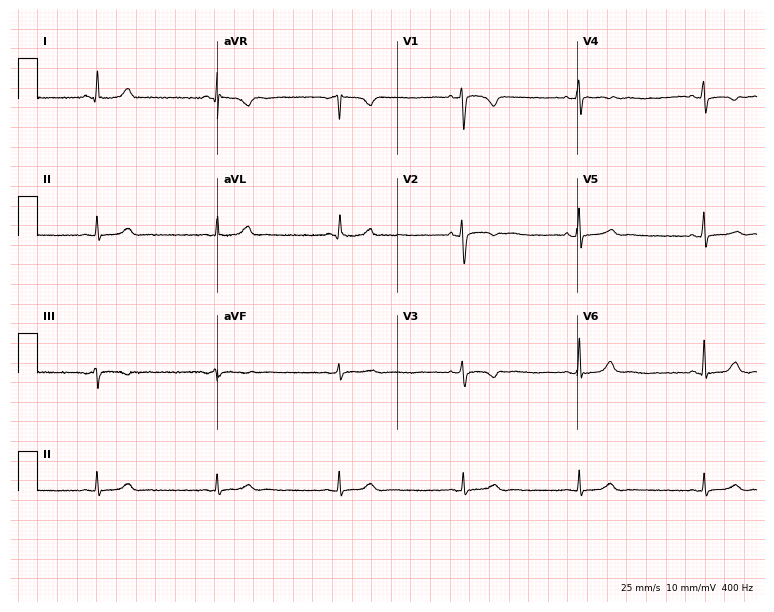
Standard 12-lead ECG recorded from a female, 35 years old (7.3-second recording at 400 Hz). The tracing shows sinus bradycardia (a sinus rate of 50 beats per minute or less).